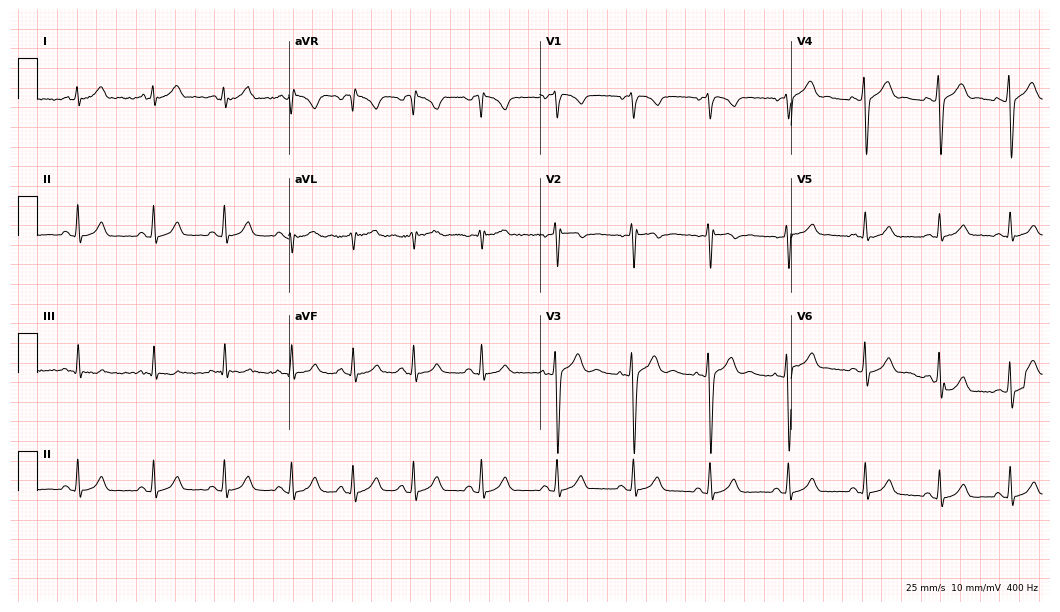
Resting 12-lead electrocardiogram (10.2-second recording at 400 Hz). Patient: a male, 19 years old. Read as a normal ECG.